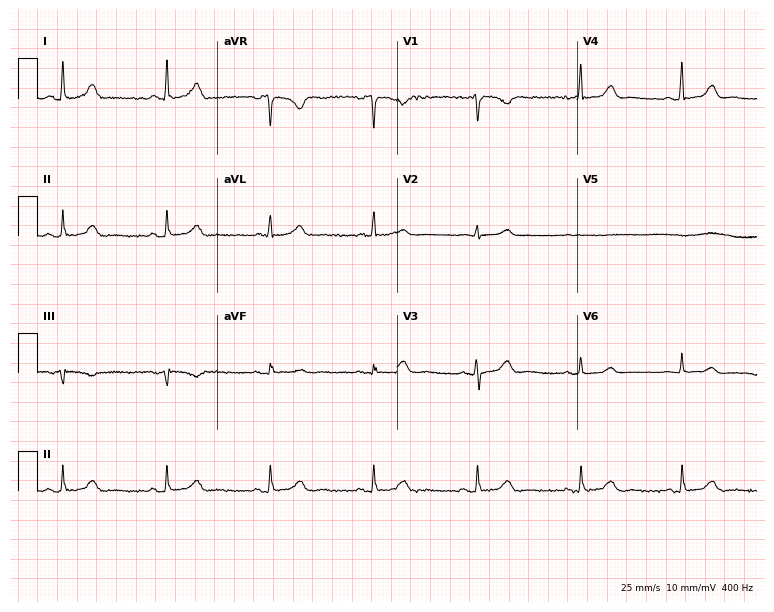
Resting 12-lead electrocardiogram. Patient: a female, 69 years old. Read as a normal ECG.